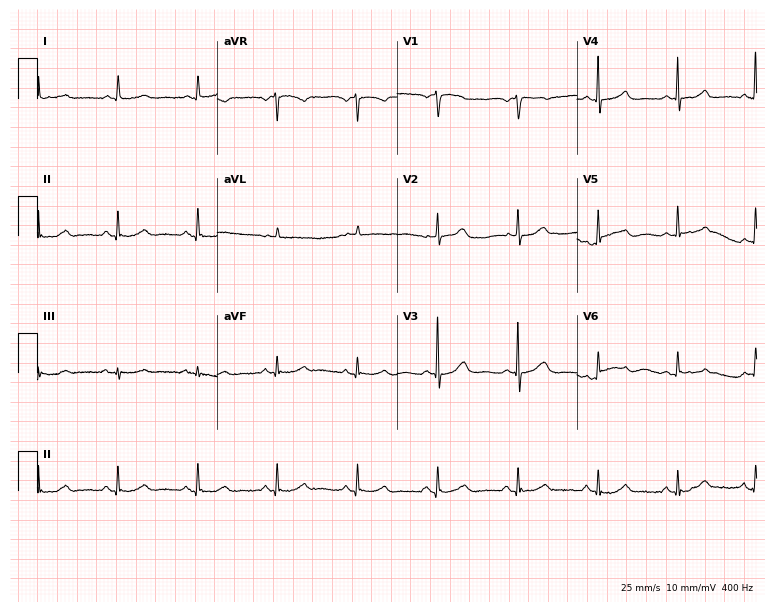
ECG (7.3-second recording at 400 Hz) — an 82-year-old female patient. Labelled as a normal ECG.